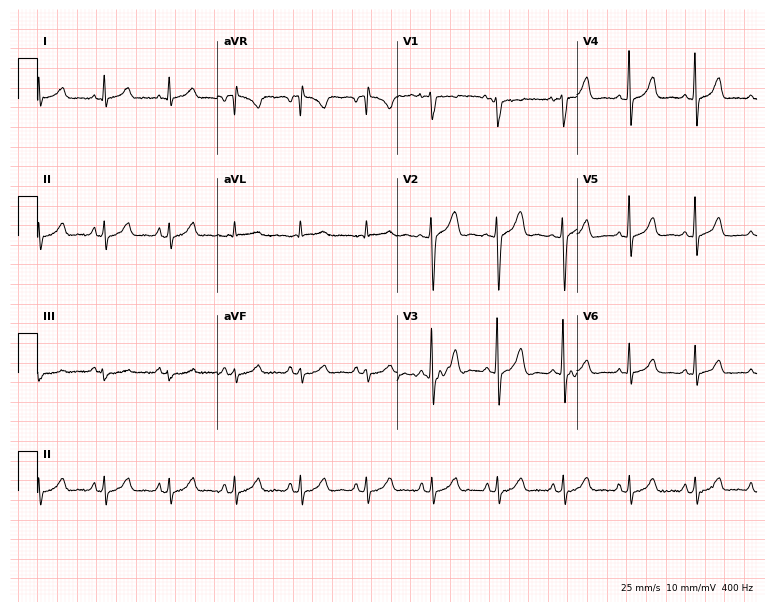
Resting 12-lead electrocardiogram (7.3-second recording at 400 Hz). Patient: a 39-year-old female. Read as a normal ECG.